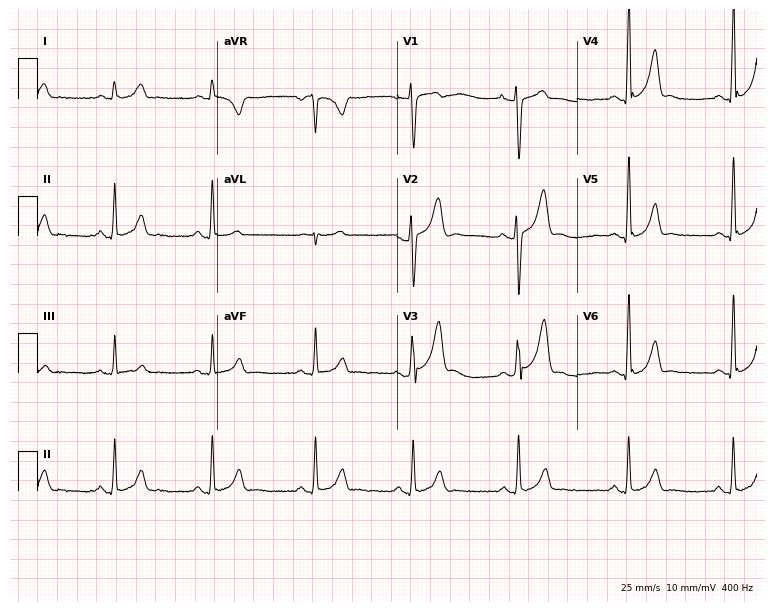
12-lead ECG from a male, 31 years old. Recorded interpretation: within normal limits.